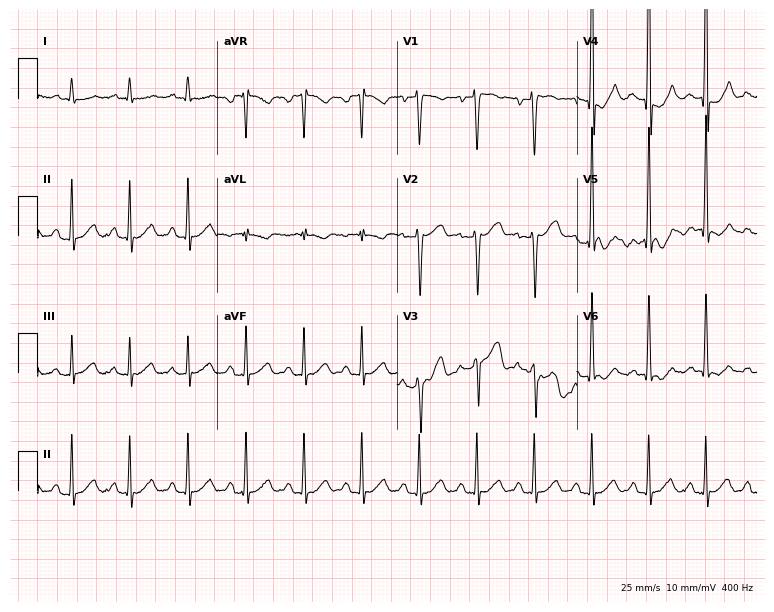
Electrocardiogram, a female, 28 years old. Interpretation includes sinus tachycardia (a sinus rate of 100 beats per minute or more).